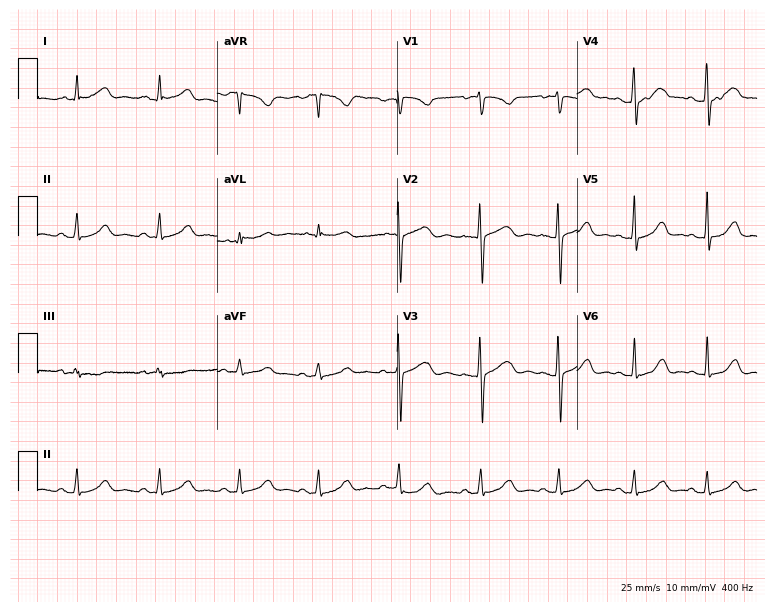
12-lead ECG (7.3-second recording at 400 Hz) from a woman, 41 years old. Labelled as a normal ECG.